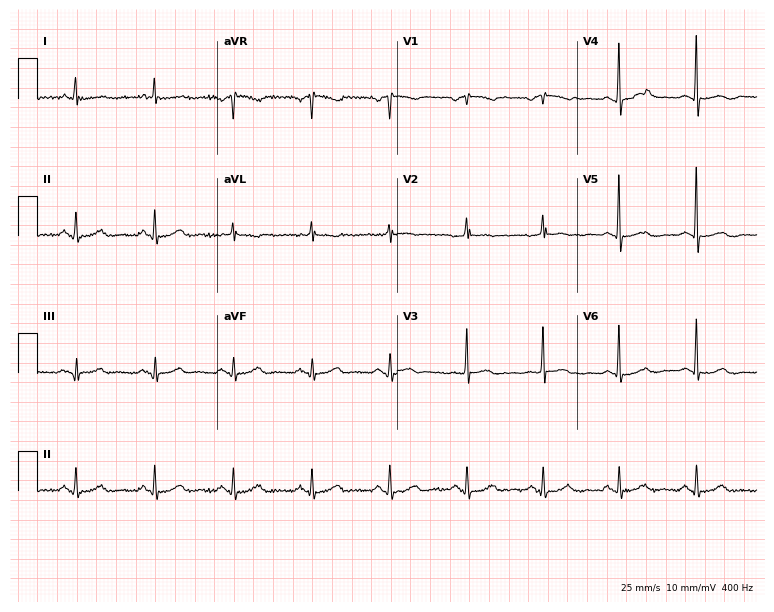
Electrocardiogram (7.3-second recording at 400 Hz), a 77-year-old female. Of the six screened findings (first-degree AV block, right bundle branch block, left bundle branch block, sinus bradycardia, atrial fibrillation, sinus tachycardia), none is recorded. Only these six findings were labelled.